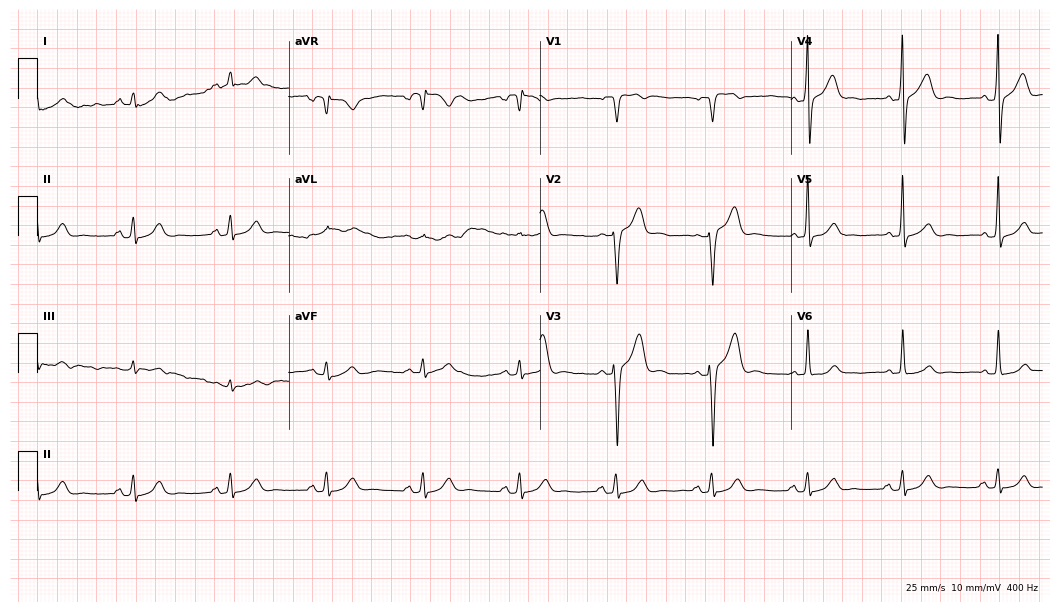
ECG — a male, 72 years old. Labelled as a normal ECG.